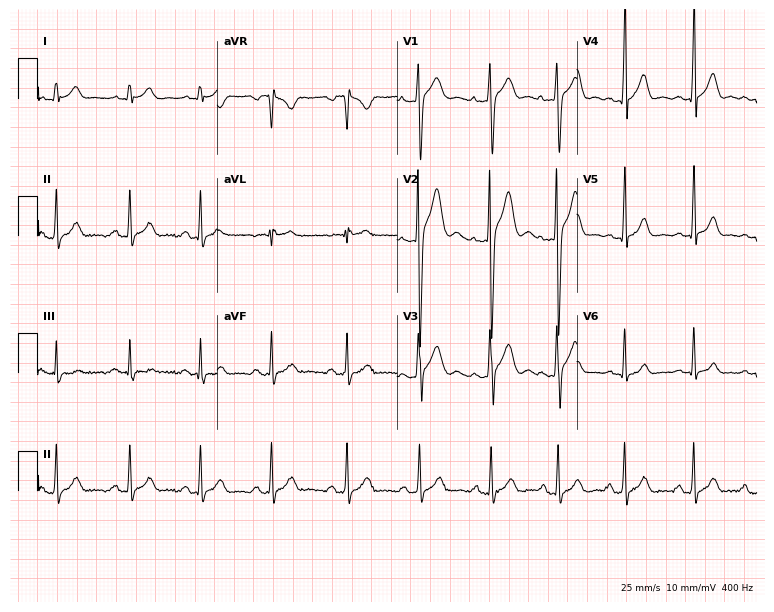
12-lead ECG (7.3-second recording at 400 Hz) from a 22-year-old male patient. Screened for six findings — first-degree AV block, right bundle branch block, left bundle branch block, sinus bradycardia, atrial fibrillation, sinus tachycardia — none is recorded.